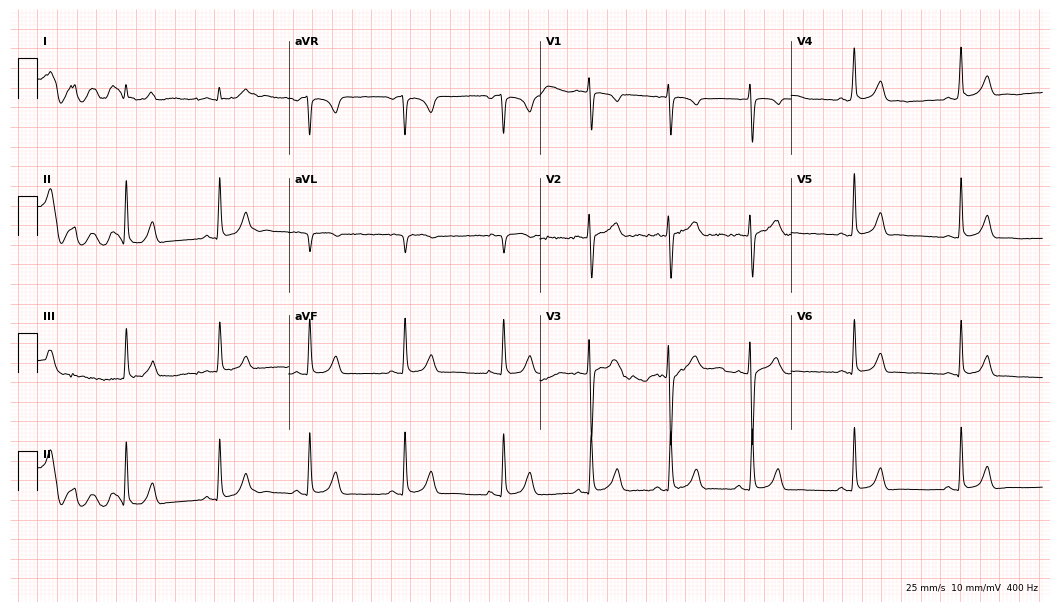
12-lead ECG from a female, 21 years old (10.2-second recording at 400 Hz). Recorded interpretation: within normal limits.